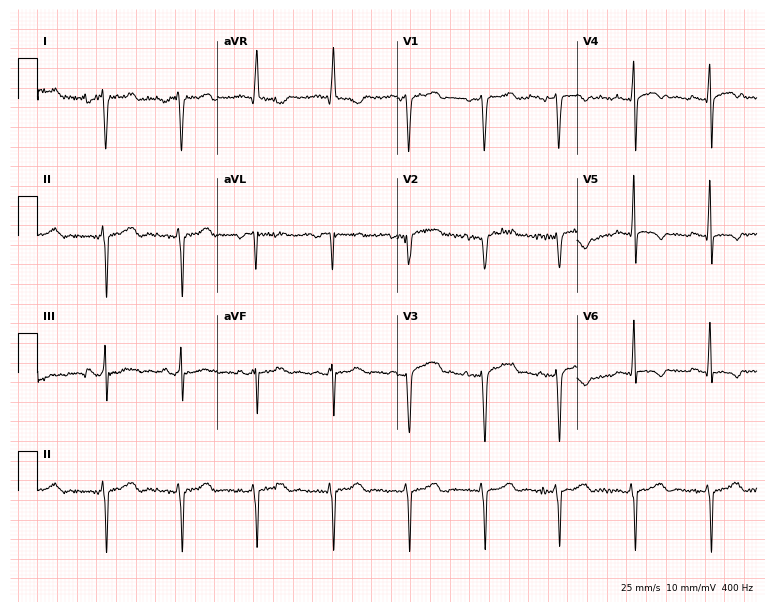
12-lead ECG from a woman, 67 years old (7.3-second recording at 400 Hz). No first-degree AV block, right bundle branch block (RBBB), left bundle branch block (LBBB), sinus bradycardia, atrial fibrillation (AF) or sinus tachycardia recorded for this tracing. Only these six findings were labelled.